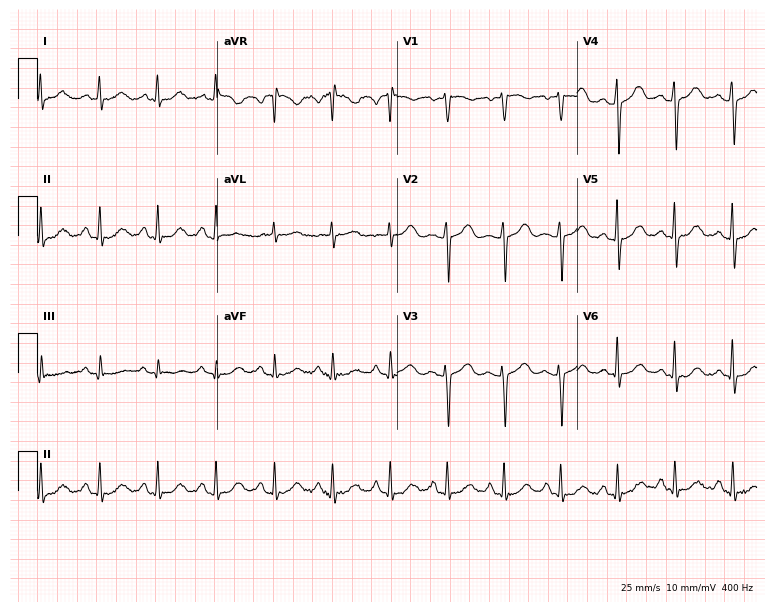
12-lead ECG (7.3-second recording at 400 Hz) from a 57-year-old woman. Findings include sinus tachycardia (a sinus rate of 100 beats per minute or more).